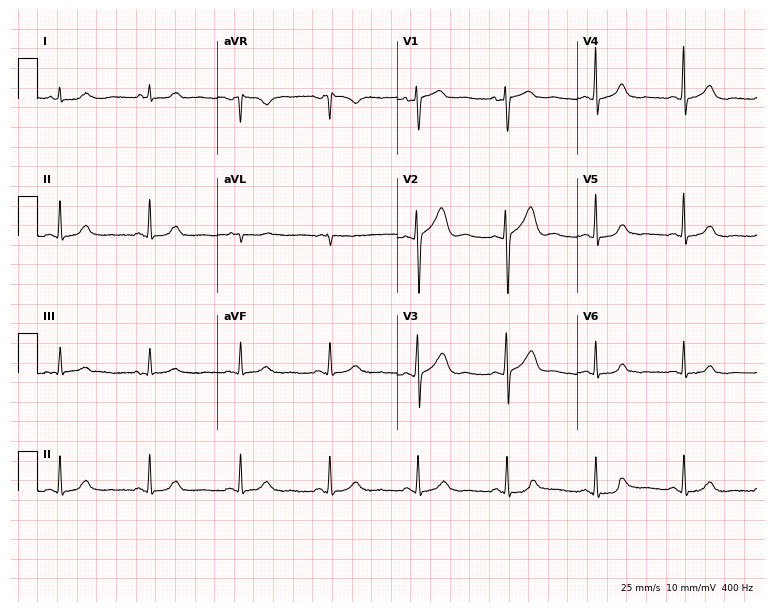
12-lead ECG from a 54-year-old man. No first-degree AV block, right bundle branch block (RBBB), left bundle branch block (LBBB), sinus bradycardia, atrial fibrillation (AF) or sinus tachycardia recorded for this tracing.